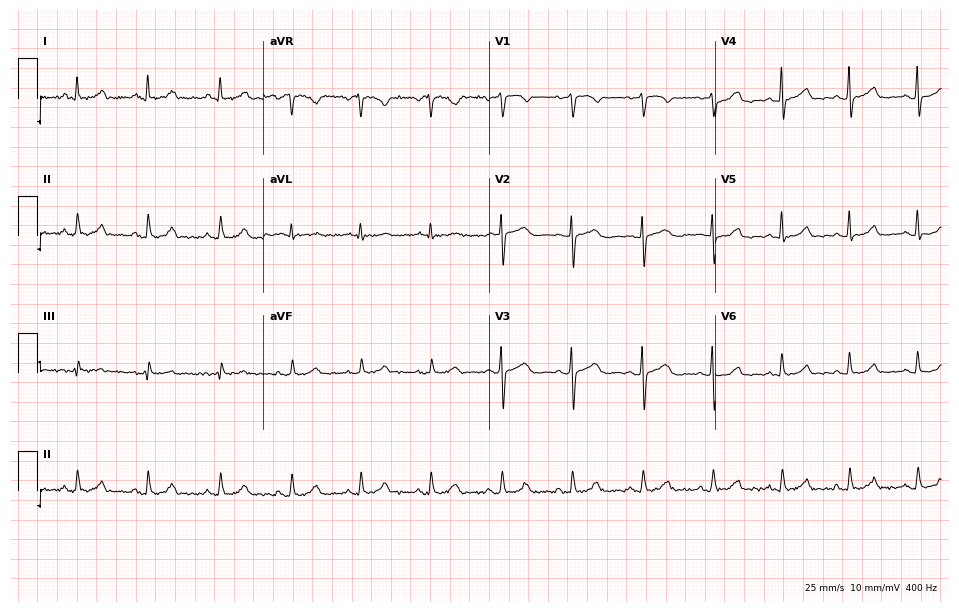
Standard 12-lead ECG recorded from a woman, 47 years old (9.2-second recording at 400 Hz). Read as a normal ECG.